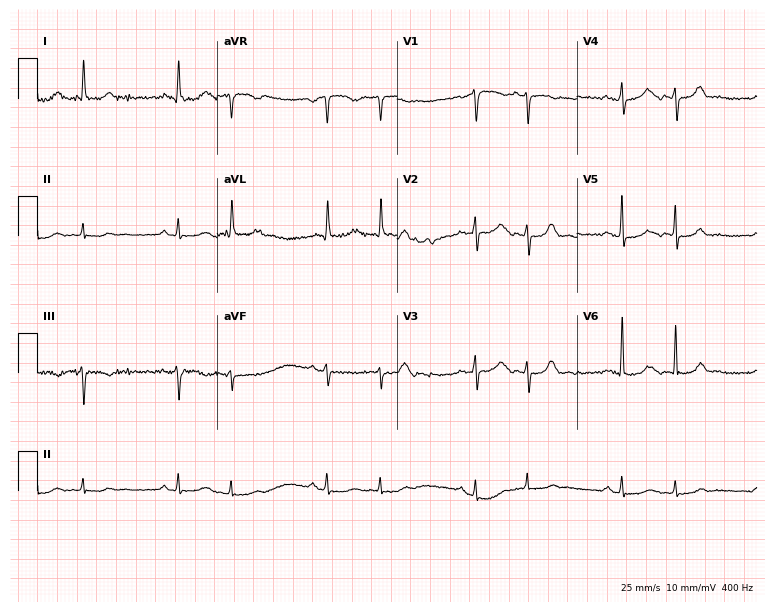
12-lead ECG from a female patient, 80 years old. Screened for six findings — first-degree AV block, right bundle branch block, left bundle branch block, sinus bradycardia, atrial fibrillation, sinus tachycardia — none is recorded.